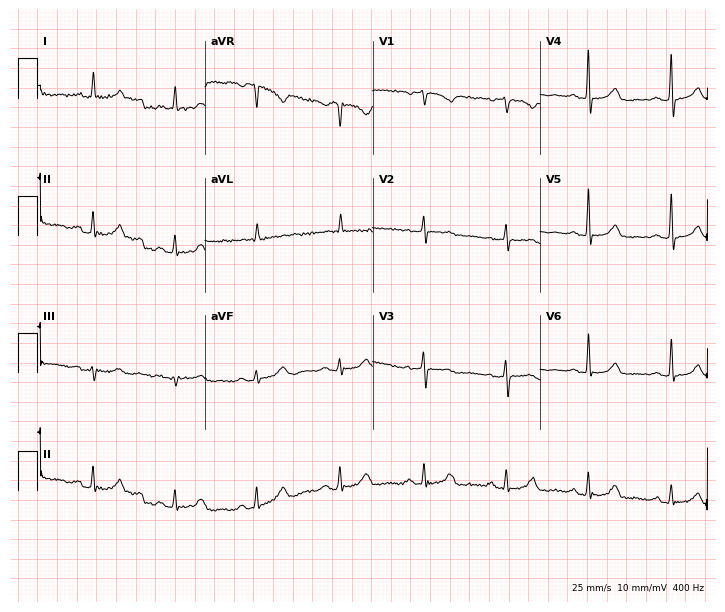
Standard 12-lead ECG recorded from a female, 73 years old. None of these six findings is recorded: first-degree AV block, right bundle branch block, left bundle branch block, sinus bradycardia, atrial fibrillation, sinus tachycardia.